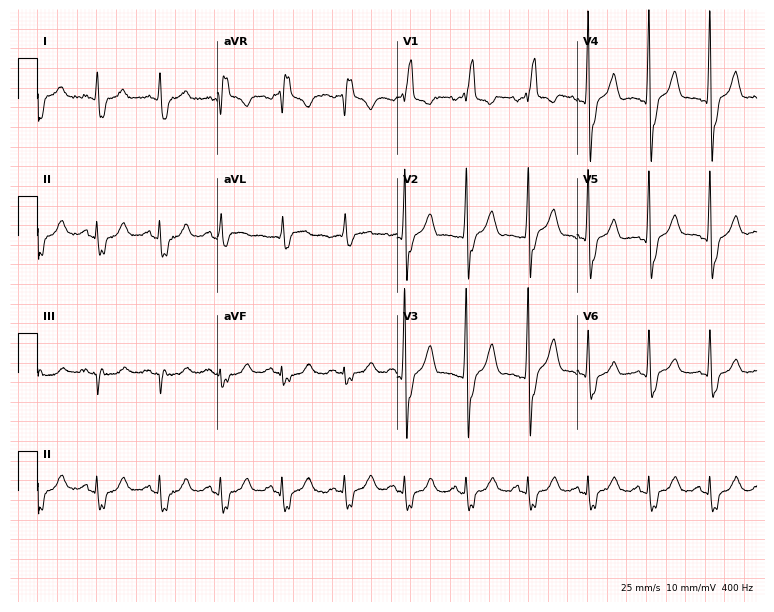
Electrocardiogram (7.3-second recording at 400 Hz), a 79-year-old male. Interpretation includes right bundle branch block (RBBB).